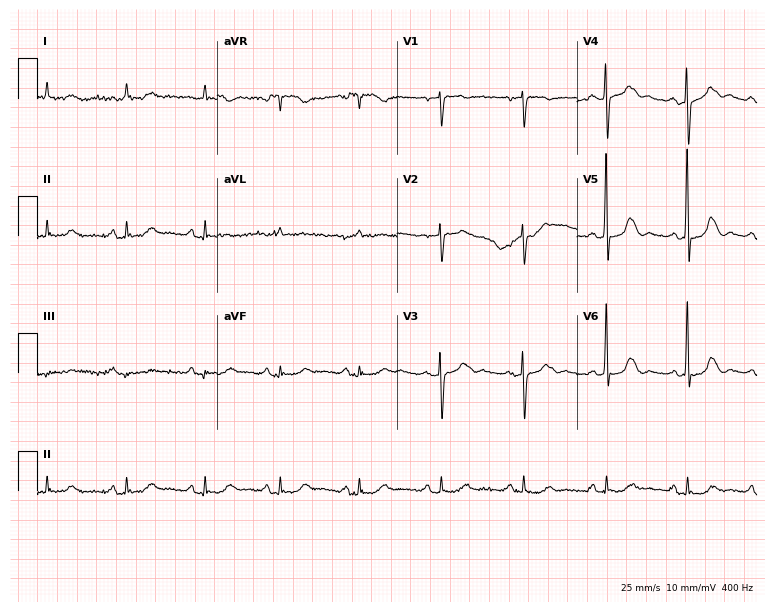
12-lead ECG from a female, 67 years old. Recorded interpretation: within normal limits.